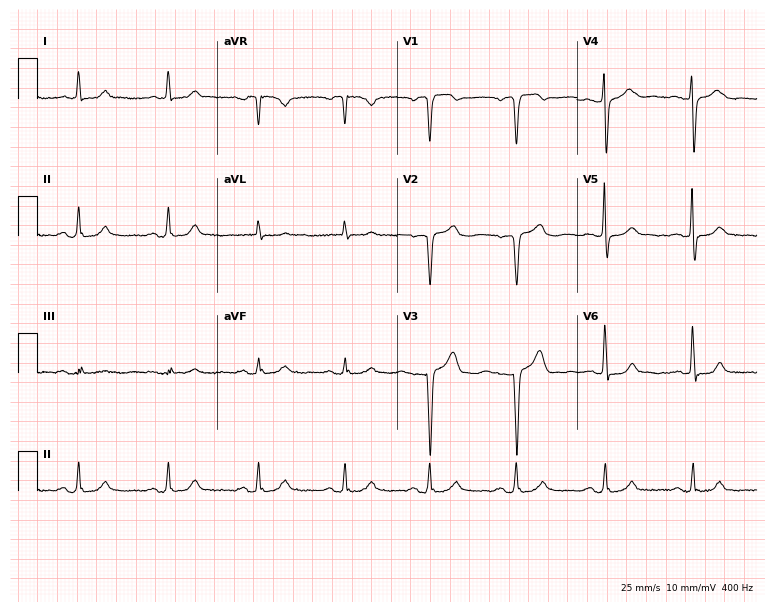
12-lead ECG from a male, 69 years old (7.3-second recording at 400 Hz). No first-degree AV block, right bundle branch block (RBBB), left bundle branch block (LBBB), sinus bradycardia, atrial fibrillation (AF) or sinus tachycardia recorded for this tracing.